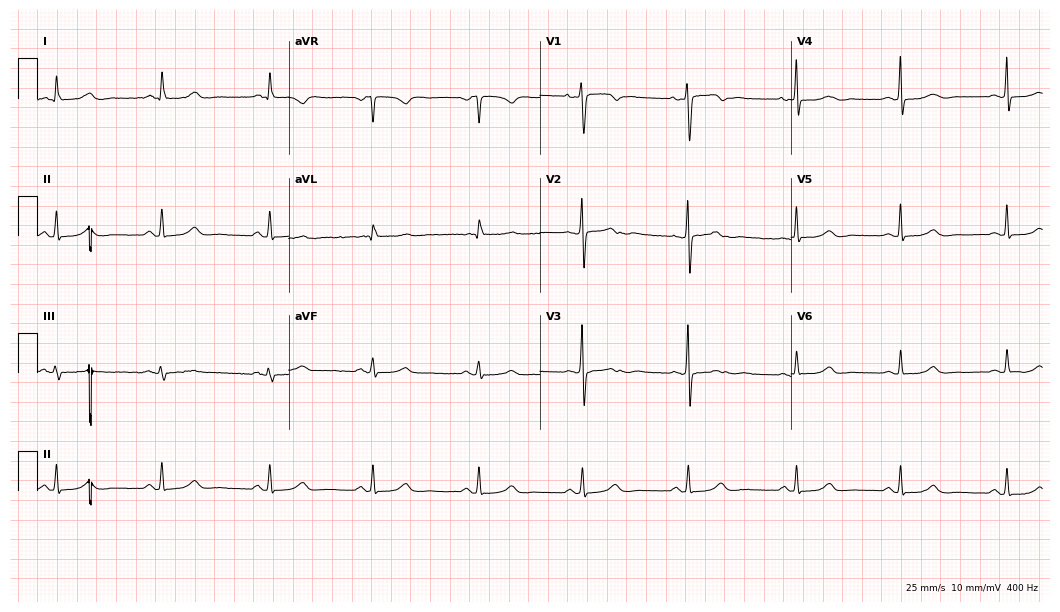
12-lead ECG (10.2-second recording at 400 Hz) from a woman, 44 years old. Screened for six findings — first-degree AV block, right bundle branch block (RBBB), left bundle branch block (LBBB), sinus bradycardia, atrial fibrillation (AF), sinus tachycardia — none is recorded. Findings outside these six are not listed.